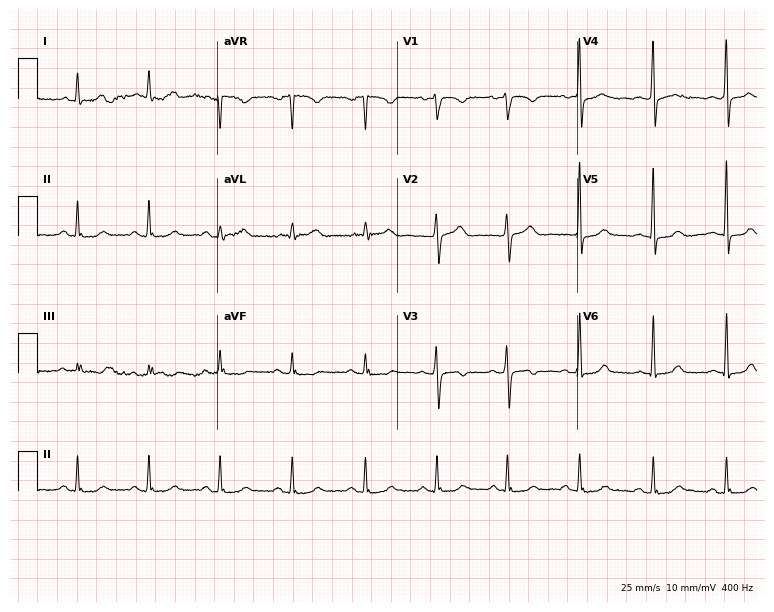
12-lead ECG (7.3-second recording at 400 Hz) from a woman, 58 years old. Labelled as a normal ECG.